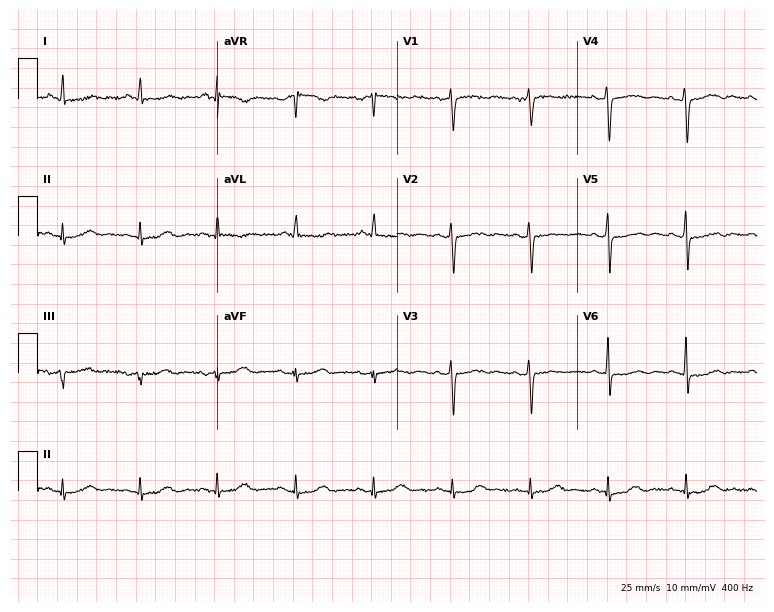
Electrocardiogram (7.3-second recording at 400 Hz), an 82-year-old female. Of the six screened findings (first-degree AV block, right bundle branch block, left bundle branch block, sinus bradycardia, atrial fibrillation, sinus tachycardia), none is recorded. Other findings, if any, are not listed.